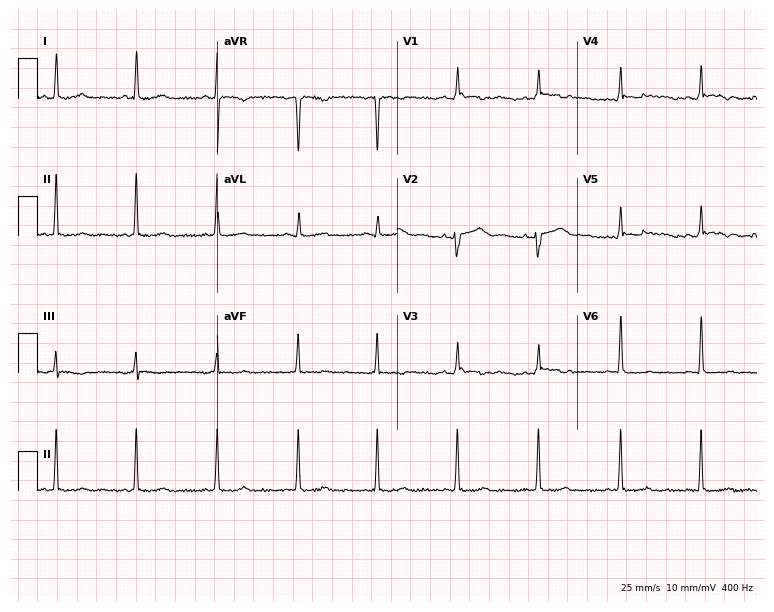
Resting 12-lead electrocardiogram (7.3-second recording at 400 Hz). Patient: a 45-year-old female. None of these six findings is recorded: first-degree AV block, right bundle branch block, left bundle branch block, sinus bradycardia, atrial fibrillation, sinus tachycardia.